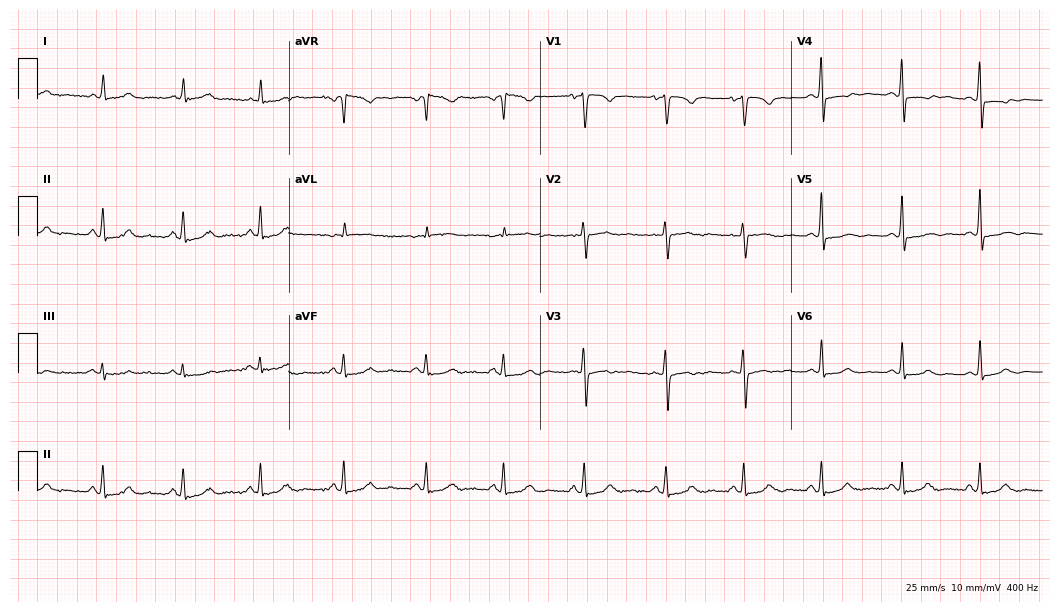
12-lead ECG from a female patient, 45 years old (10.2-second recording at 400 Hz). No first-degree AV block, right bundle branch block, left bundle branch block, sinus bradycardia, atrial fibrillation or sinus tachycardia recorded for this tracing. Only these six findings were labelled.